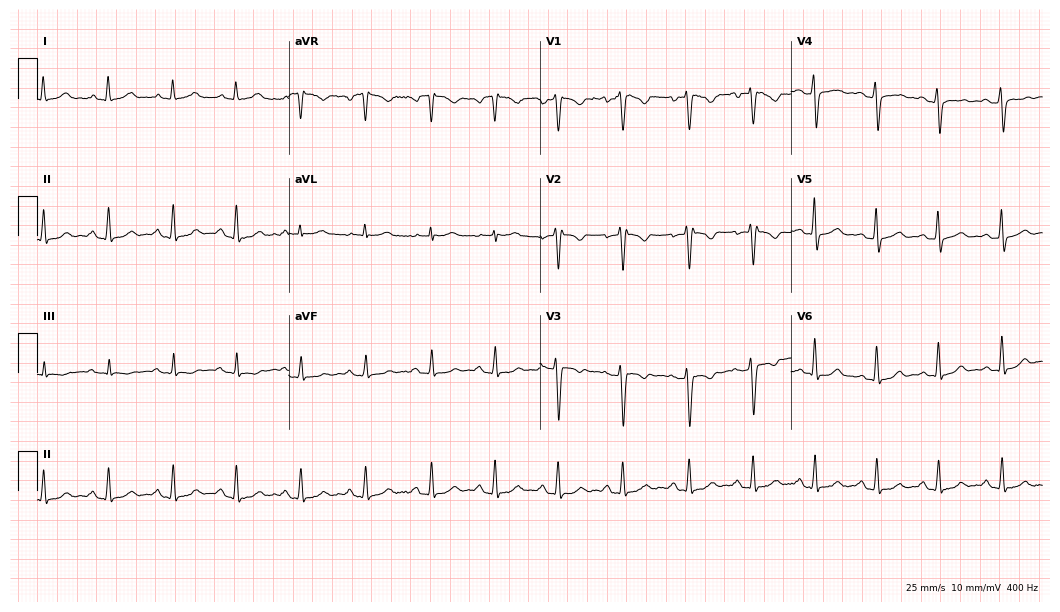
12-lead ECG from a 23-year-old female patient (10.2-second recording at 400 Hz). Recorded interpretation: within normal limits.